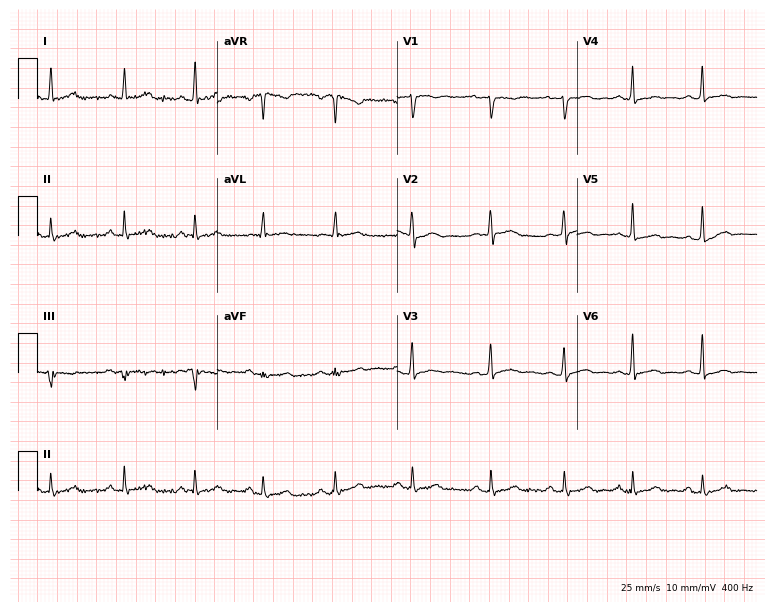
Standard 12-lead ECG recorded from a 37-year-old man. Read as a normal ECG.